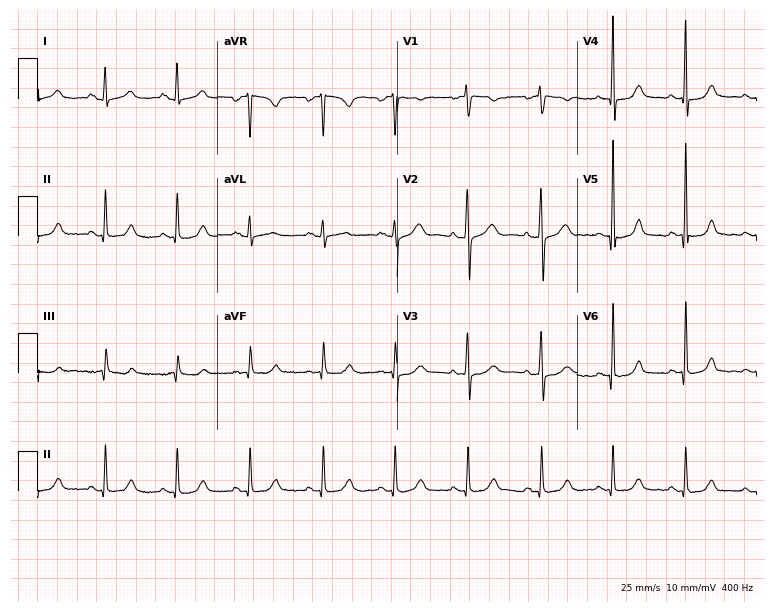
Standard 12-lead ECG recorded from a female patient, 32 years old. None of these six findings is recorded: first-degree AV block, right bundle branch block, left bundle branch block, sinus bradycardia, atrial fibrillation, sinus tachycardia. Only these six findings were labelled.